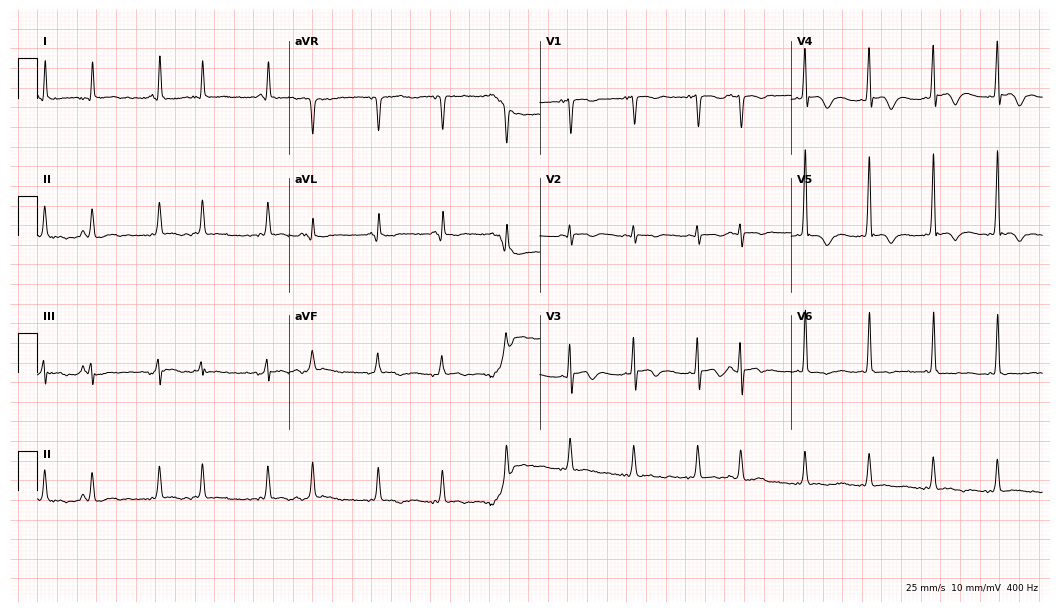
12-lead ECG from a 77-year-old man. Findings include atrial fibrillation.